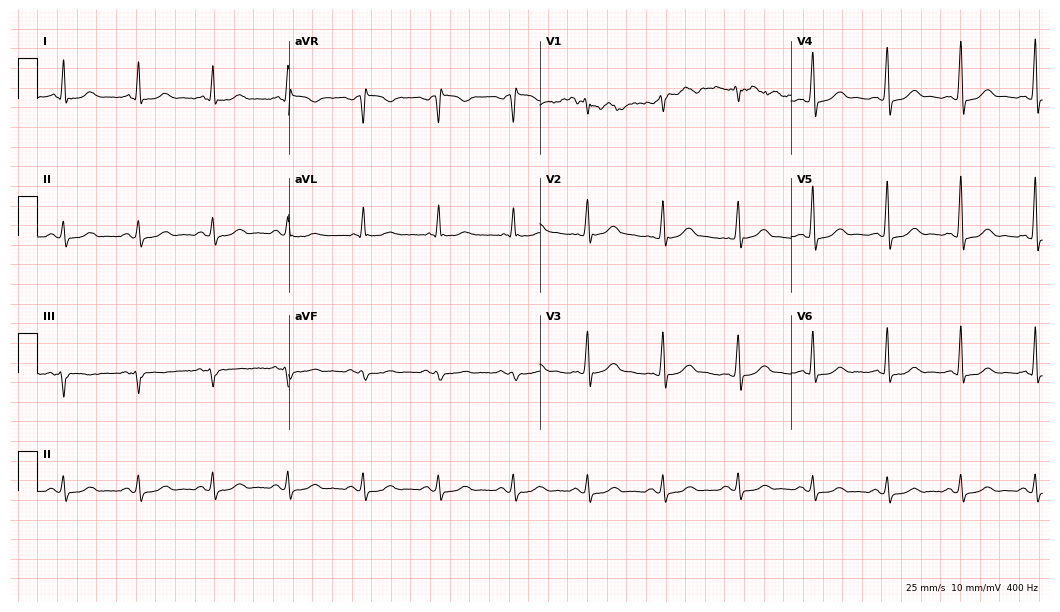
Resting 12-lead electrocardiogram. Patient: a male, 66 years old. None of these six findings is recorded: first-degree AV block, right bundle branch block (RBBB), left bundle branch block (LBBB), sinus bradycardia, atrial fibrillation (AF), sinus tachycardia.